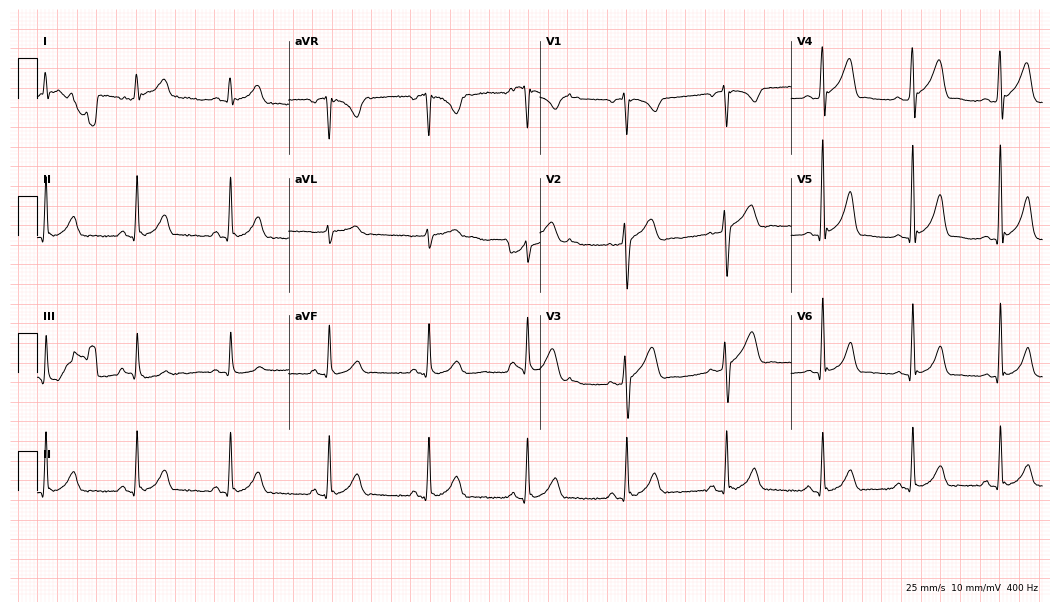
ECG (10.2-second recording at 400 Hz) — a male, 42 years old. Labelled as a normal ECG.